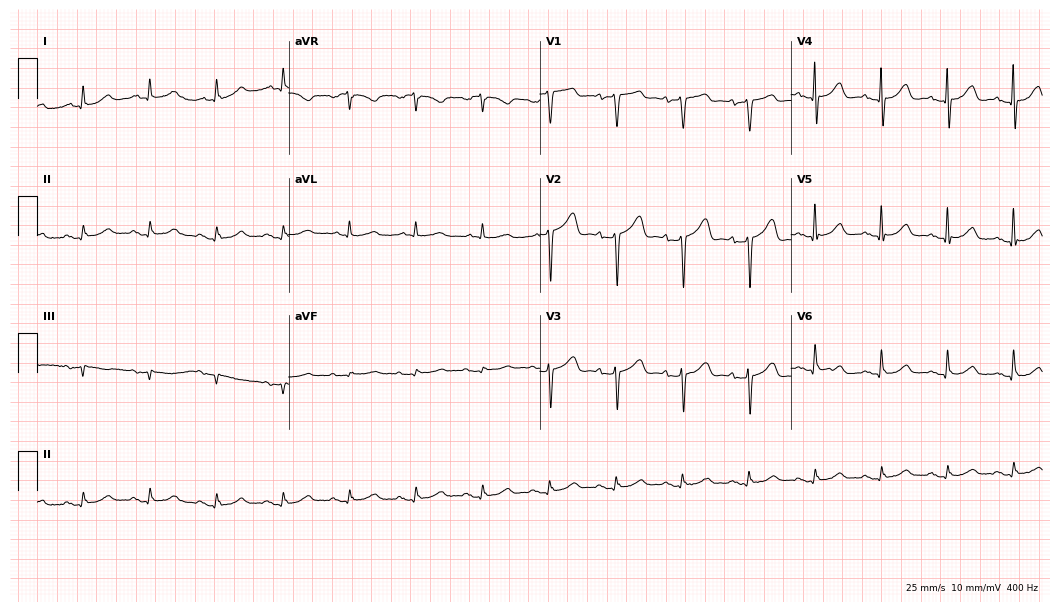
12-lead ECG from a female patient, 75 years old. Recorded interpretation: within normal limits.